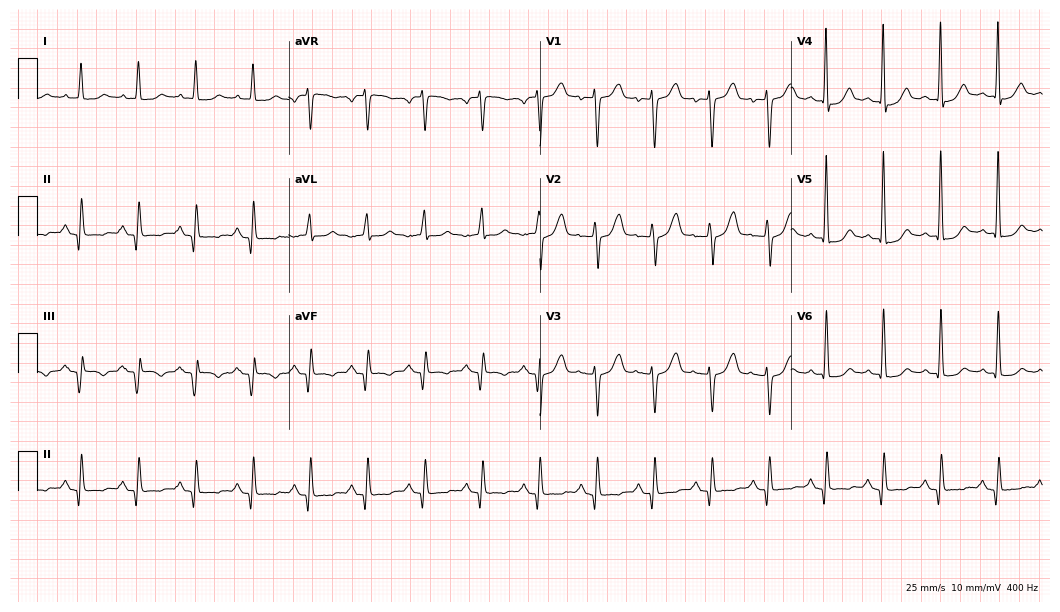
12-lead ECG from a female patient, 85 years old (10.2-second recording at 400 Hz). Shows sinus tachycardia (a sinus rate of 100 beats per minute or more).